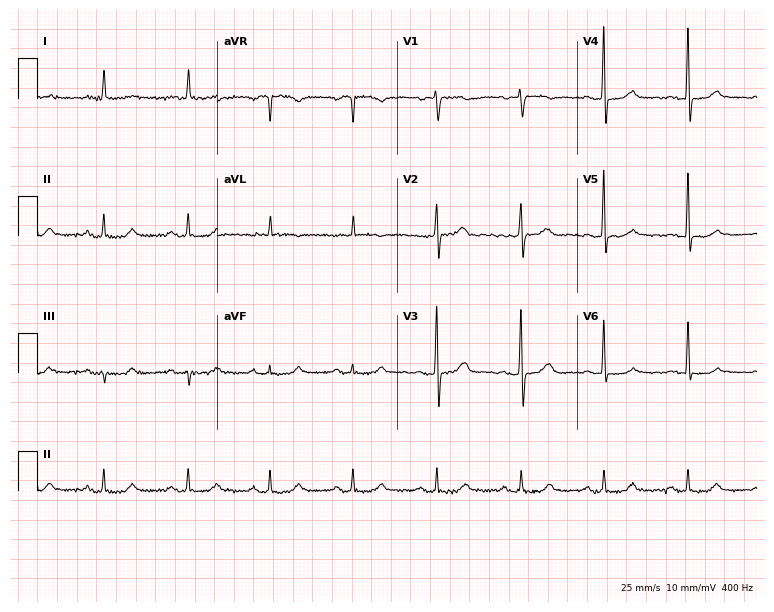
ECG — a 71-year-old female patient. Screened for six findings — first-degree AV block, right bundle branch block, left bundle branch block, sinus bradycardia, atrial fibrillation, sinus tachycardia — none is recorded.